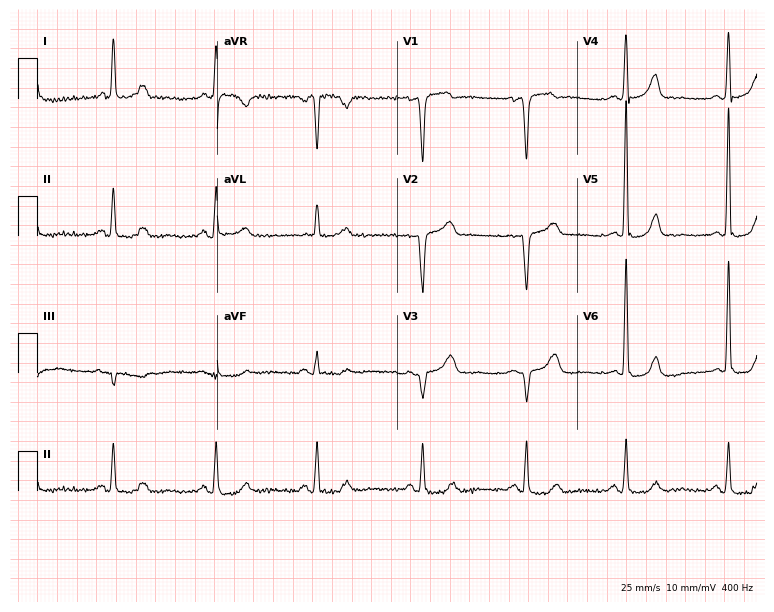
Electrocardiogram, a woman, 75 years old. Overall reading on record: normal ECG.